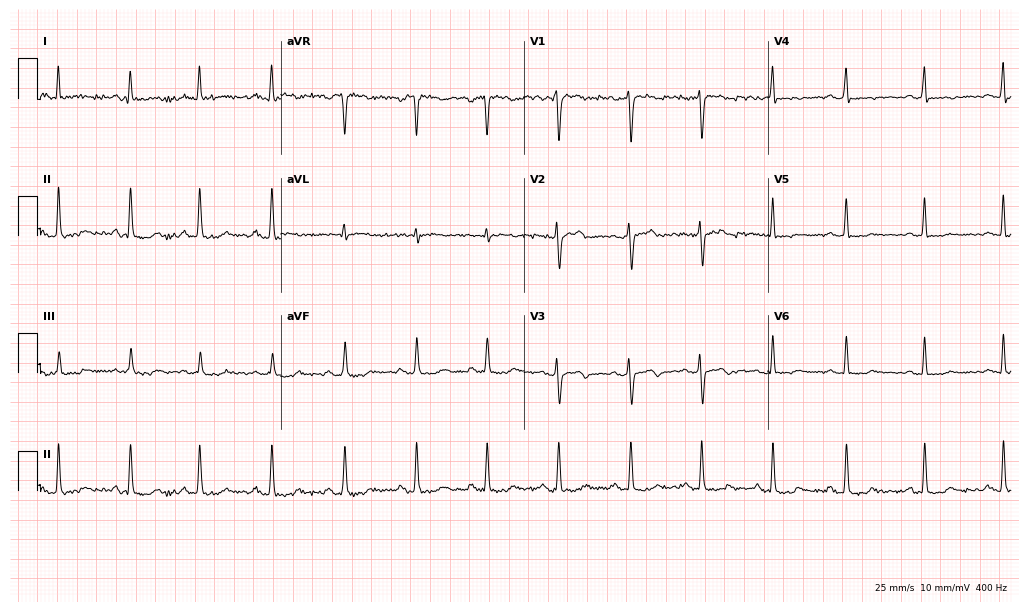
Resting 12-lead electrocardiogram. Patient: a woman, 40 years old. None of these six findings is recorded: first-degree AV block, right bundle branch block (RBBB), left bundle branch block (LBBB), sinus bradycardia, atrial fibrillation (AF), sinus tachycardia.